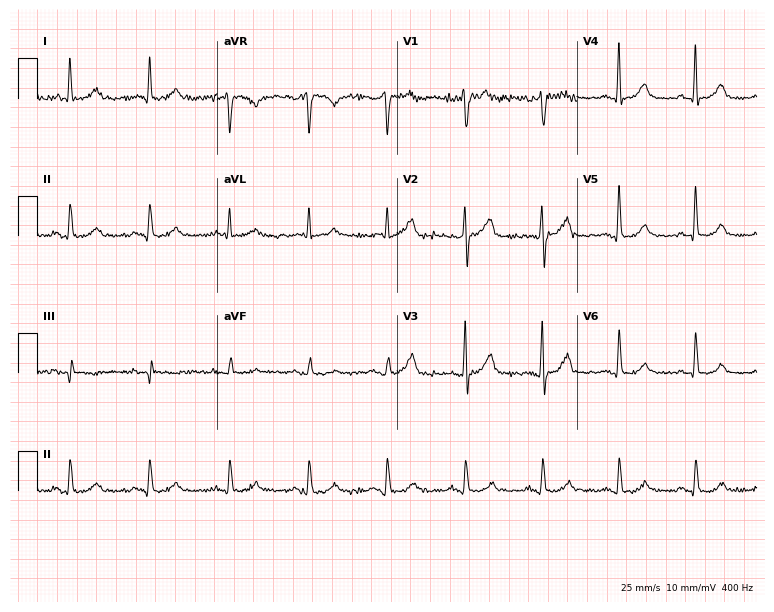
Resting 12-lead electrocardiogram (7.3-second recording at 400 Hz). Patient: a male, 71 years old. Read as a normal ECG.